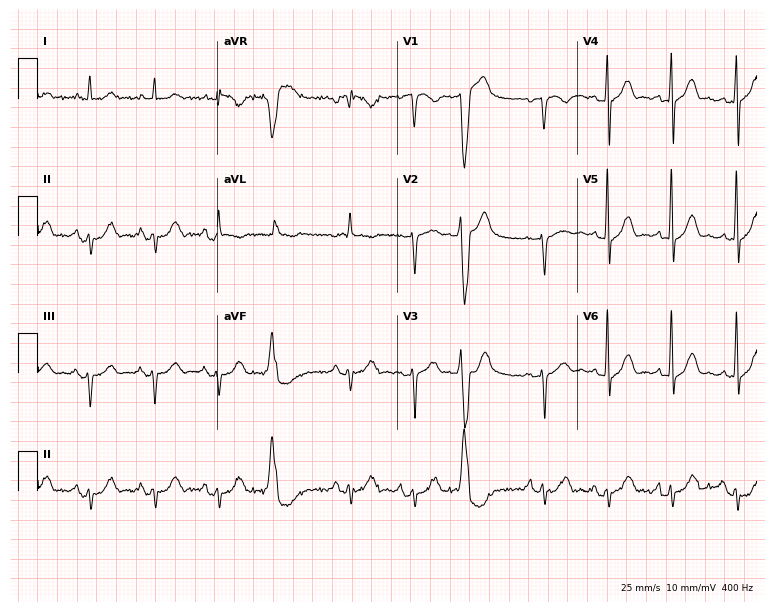
Resting 12-lead electrocardiogram (7.3-second recording at 400 Hz). Patient: a male, 85 years old. None of these six findings is recorded: first-degree AV block, right bundle branch block (RBBB), left bundle branch block (LBBB), sinus bradycardia, atrial fibrillation (AF), sinus tachycardia.